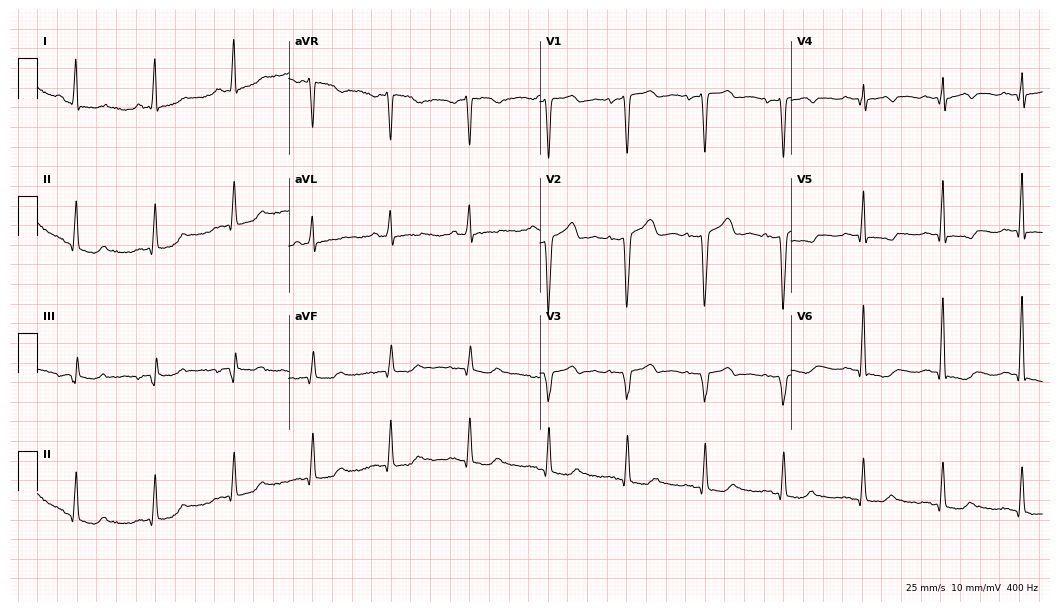
ECG (10.2-second recording at 400 Hz) — a woman, 56 years old. Screened for six findings — first-degree AV block, right bundle branch block, left bundle branch block, sinus bradycardia, atrial fibrillation, sinus tachycardia — none is recorded.